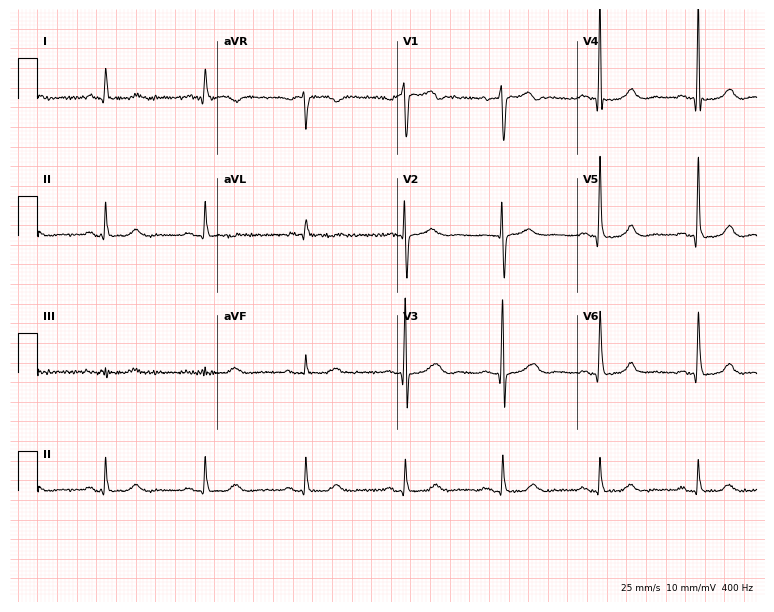
12-lead ECG from a 64-year-old male (7.3-second recording at 400 Hz). No first-degree AV block, right bundle branch block (RBBB), left bundle branch block (LBBB), sinus bradycardia, atrial fibrillation (AF) or sinus tachycardia recorded for this tracing. Only these six findings were labelled.